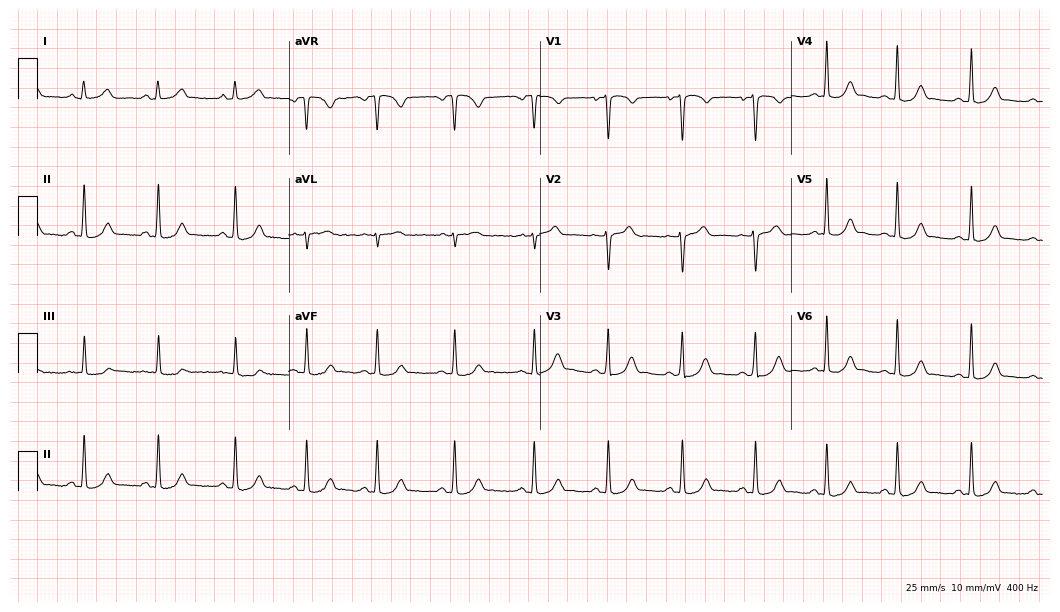
12-lead ECG (10.2-second recording at 400 Hz) from a woman, 25 years old. Labelled as a normal ECG.